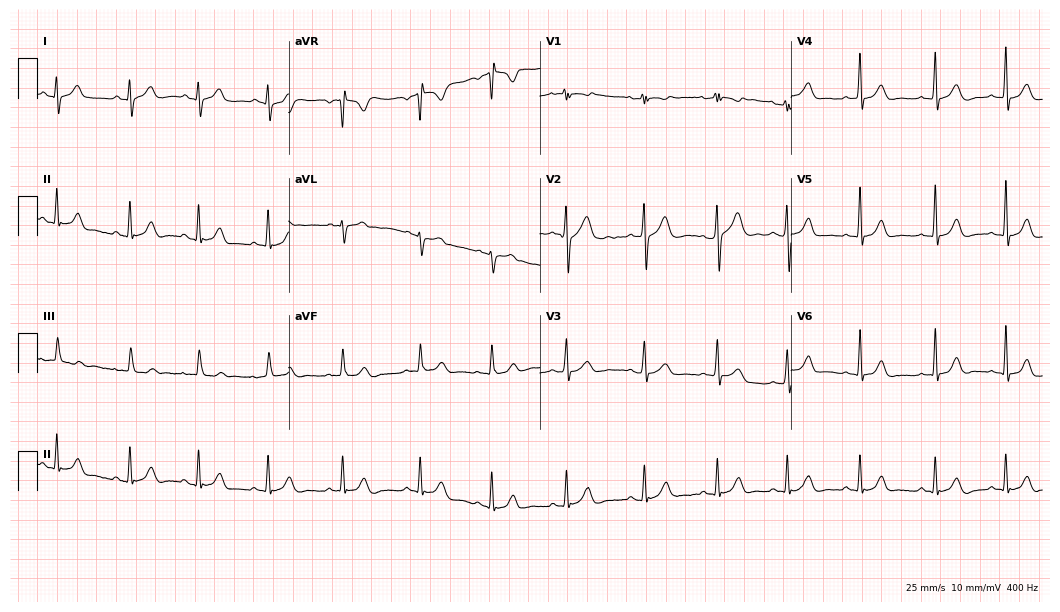
12-lead ECG from a woman, 19 years old. Recorded interpretation: within normal limits.